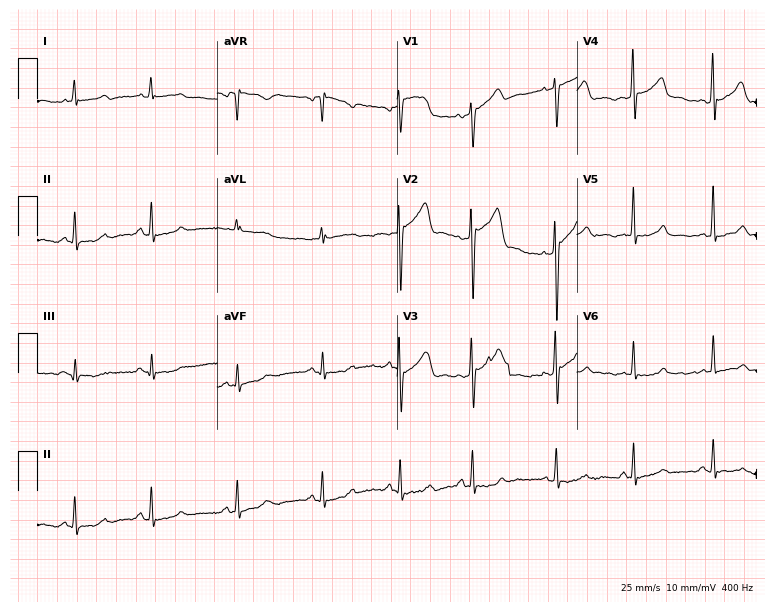
Resting 12-lead electrocardiogram. Patient: a 38-year-old male. None of these six findings is recorded: first-degree AV block, right bundle branch block, left bundle branch block, sinus bradycardia, atrial fibrillation, sinus tachycardia.